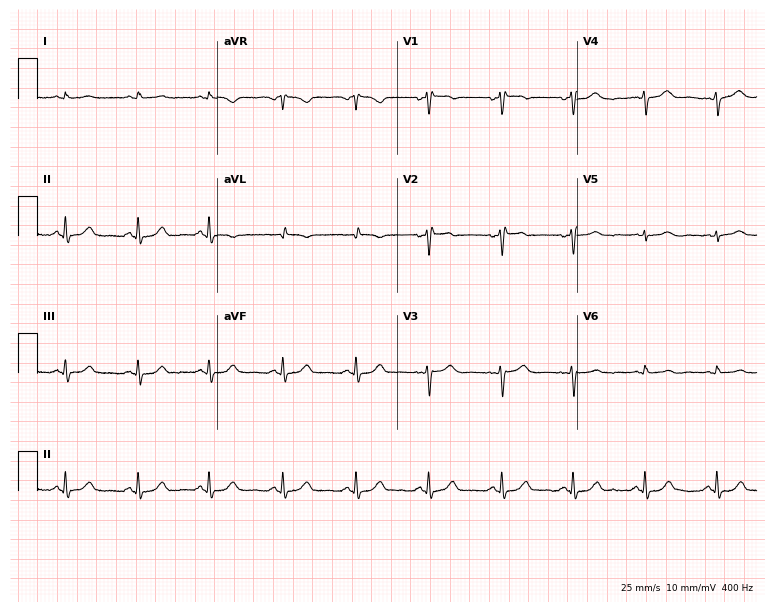
12-lead ECG from a 47-year-old female. No first-degree AV block, right bundle branch block, left bundle branch block, sinus bradycardia, atrial fibrillation or sinus tachycardia recorded for this tracing.